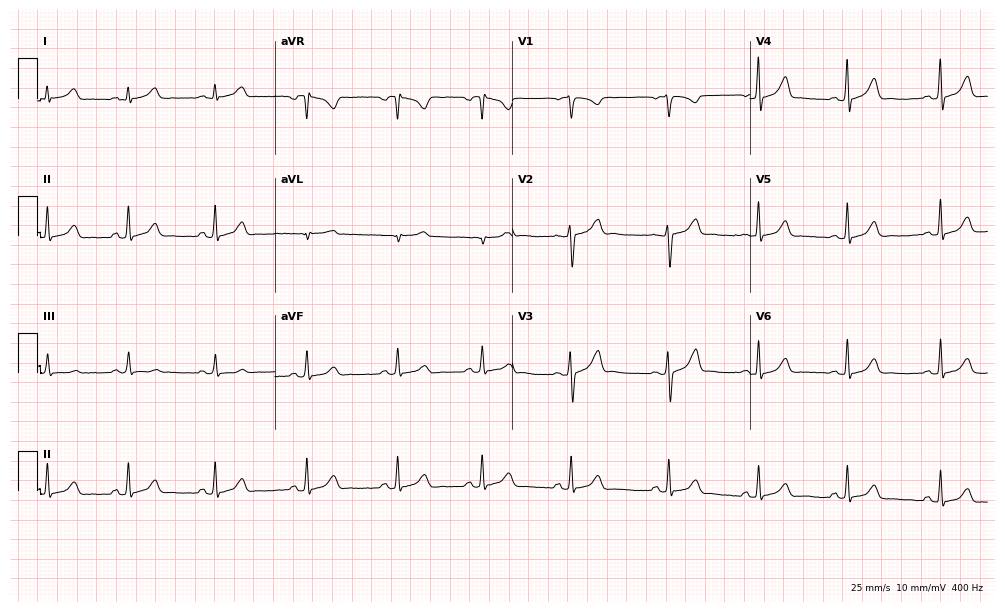
12-lead ECG from a woman, 19 years old. Recorded interpretation: within normal limits.